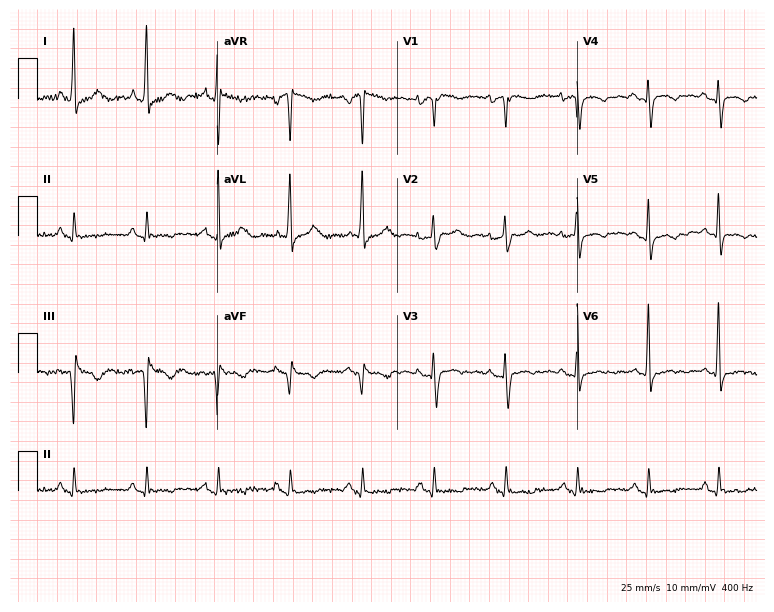
Standard 12-lead ECG recorded from a 60-year-old female patient (7.3-second recording at 400 Hz). None of these six findings is recorded: first-degree AV block, right bundle branch block, left bundle branch block, sinus bradycardia, atrial fibrillation, sinus tachycardia.